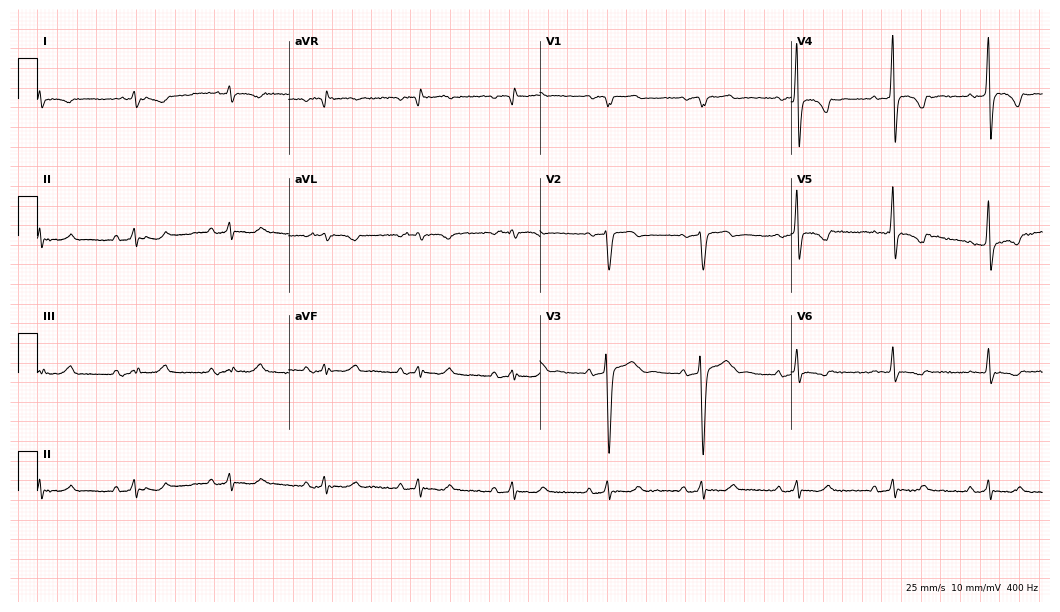
Standard 12-lead ECG recorded from a 66-year-old male patient (10.2-second recording at 400 Hz). None of these six findings is recorded: first-degree AV block, right bundle branch block (RBBB), left bundle branch block (LBBB), sinus bradycardia, atrial fibrillation (AF), sinus tachycardia. Only these six findings were labelled.